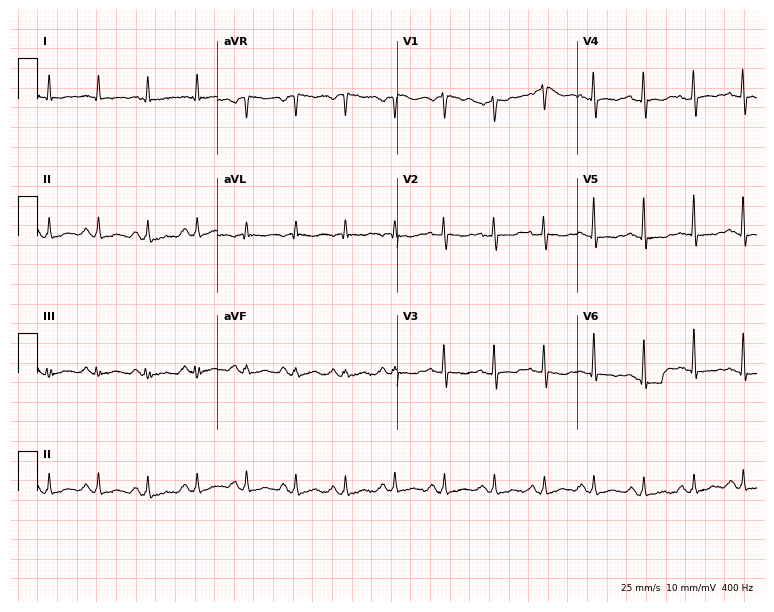
Standard 12-lead ECG recorded from a 49-year-old female (7.3-second recording at 400 Hz). The tracing shows sinus tachycardia (a sinus rate of 100 beats per minute or more).